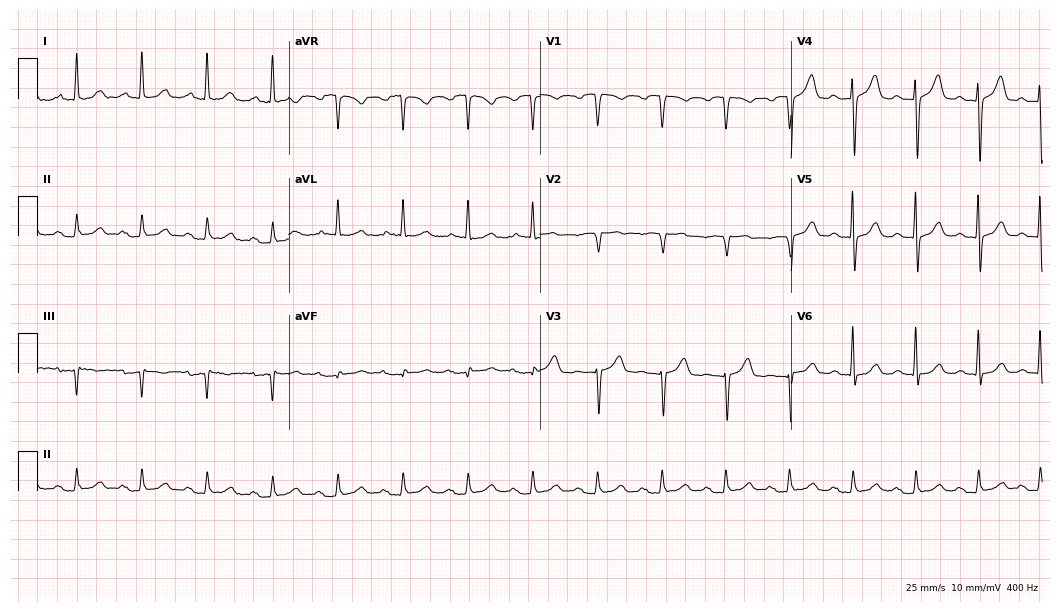
12-lead ECG (10.2-second recording at 400 Hz) from an 81-year-old male patient. Screened for six findings — first-degree AV block, right bundle branch block, left bundle branch block, sinus bradycardia, atrial fibrillation, sinus tachycardia — none is recorded.